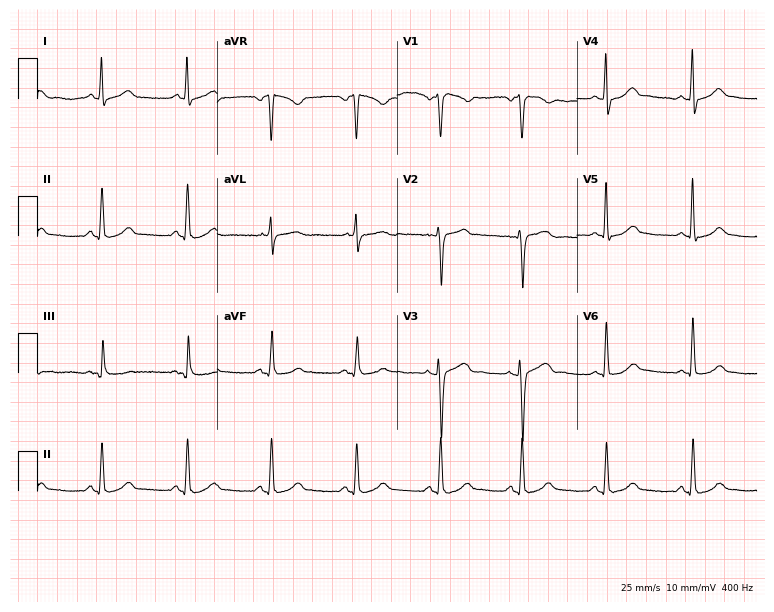
ECG (7.3-second recording at 400 Hz) — a 37-year-old female patient. Labelled as a normal ECG.